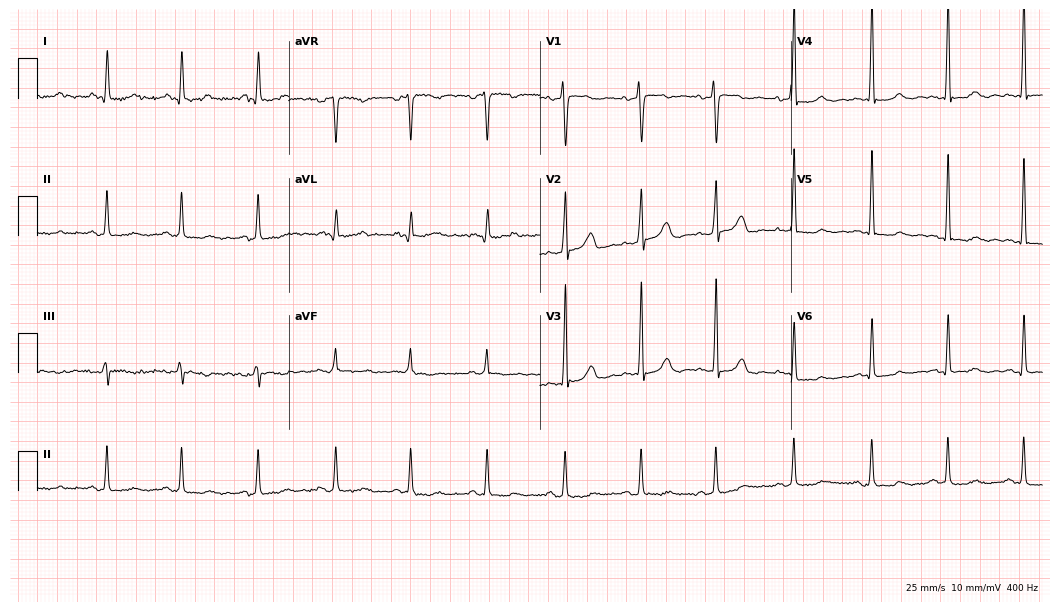
Electrocardiogram (10.2-second recording at 400 Hz), a woman, 42 years old. Overall reading on record: normal ECG.